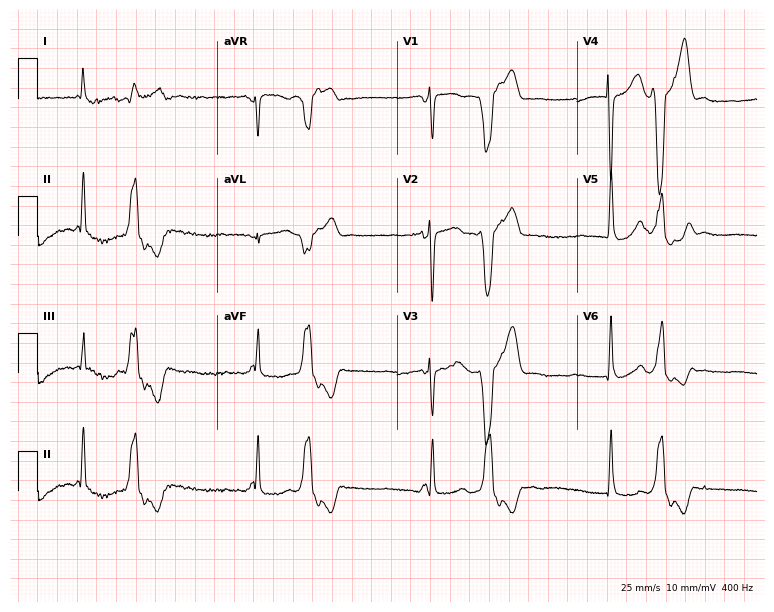
Electrocardiogram (7.3-second recording at 400 Hz), a female patient, 33 years old. Of the six screened findings (first-degree AV block, right bundle branch block, left bundle branch block, sinus bradycardia, atrial fibrillation, sinus tachycardia), none is recorded.